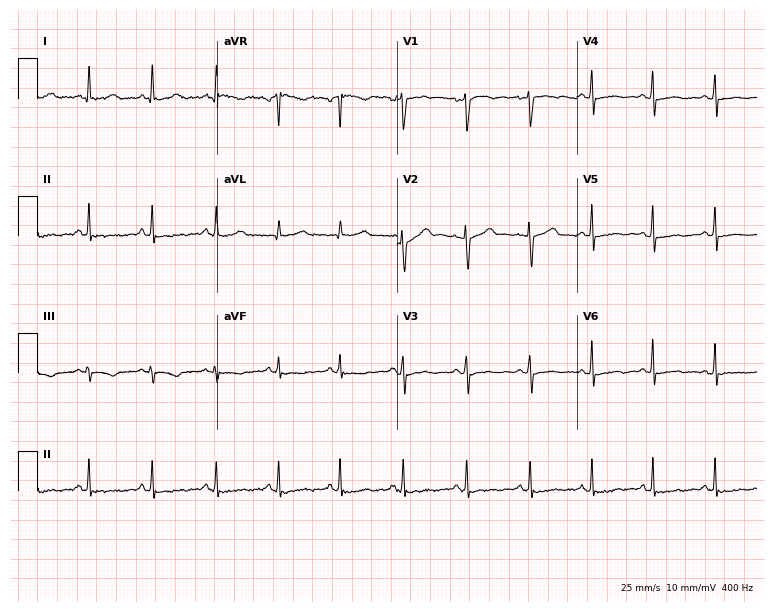
Electrocardiogram (7.3-second recording at 400 Hz), a woman, 43 years old. Of the six screened findings (first-degree AV block, right bundle branch block (RBBB), left bundle branch block (LBBB), sinus bradycardia, atrial fibrillation (AF), sinus tachycardia), none is recorded. Other findings, if any, are not listed.